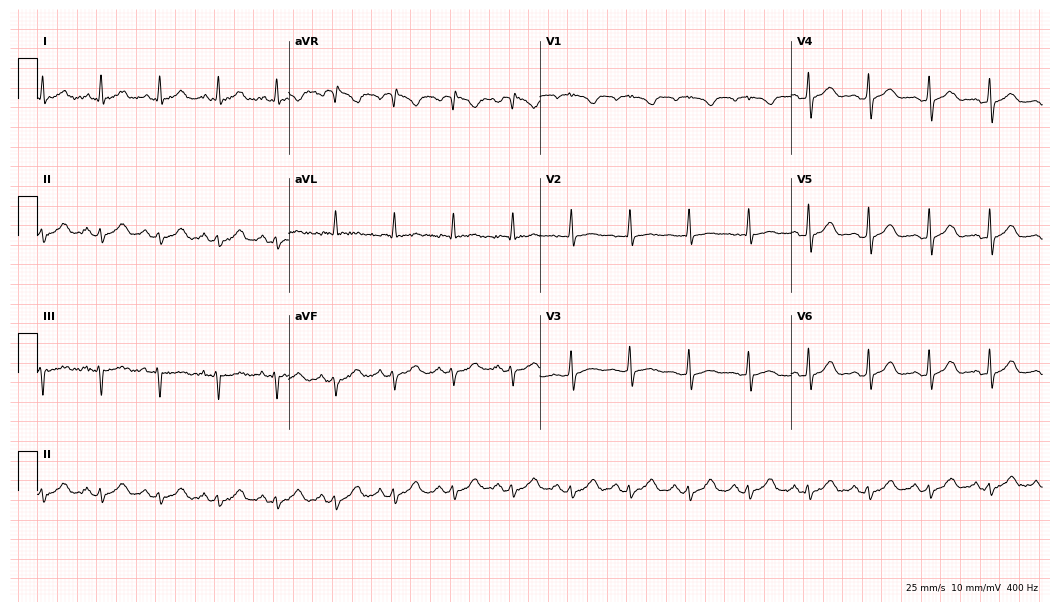
Standard 12-lead ECG recorded from a woman, 74 years old (10.2-second recording at 400 Hz). None of these six findings is recorded: first-degree AV block, right bundle branch block, left bundle branch block, sinus bradycardia, atrial fibrillation, sinus tachycardia.